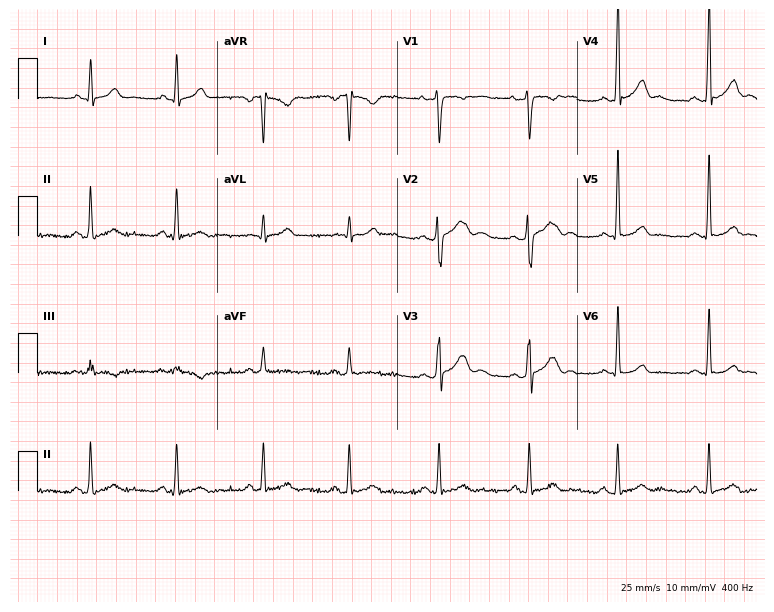
Electrocardiogram, a 22-year-old man. Of the six screened findings (first-degree AV block, right bundle branch block (RBBB), left bundle branch block (LBBB), sinus bradycardia, atrial fibrillation (AF), sinus tachycardia), none is recorded.